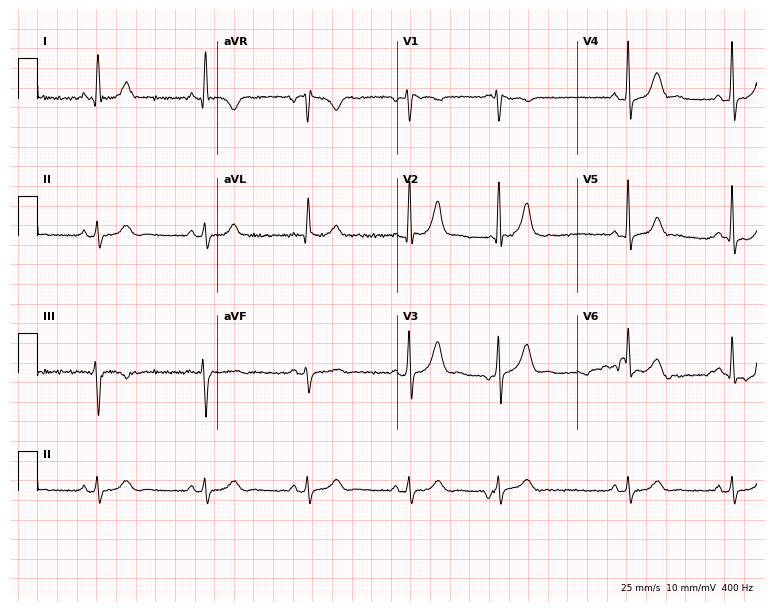
Standard 12-lead ECG recorded from a man, 69 years old. None of these six findings is recorded: first-degree AV block, right bundle branch block, left bundle branch block, sinus bradycardia, atrial fibrillation, sinus tachycardia. Findings outside these six are not listed.